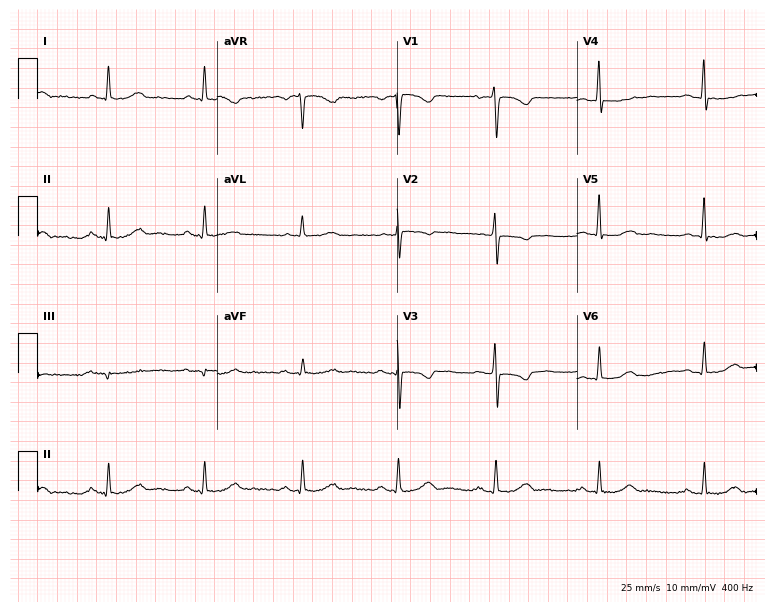
12-lead ECG (7.3-second recording at 400 Hz) from a 51-year-old woman. Screened for six findings — first-degree AV block, right bundle branch block, left bundle branch block, sinus bradycardia, atrial fibrillation, sinus tachycardia — none is recorded. Other findings, if any, are not listed.